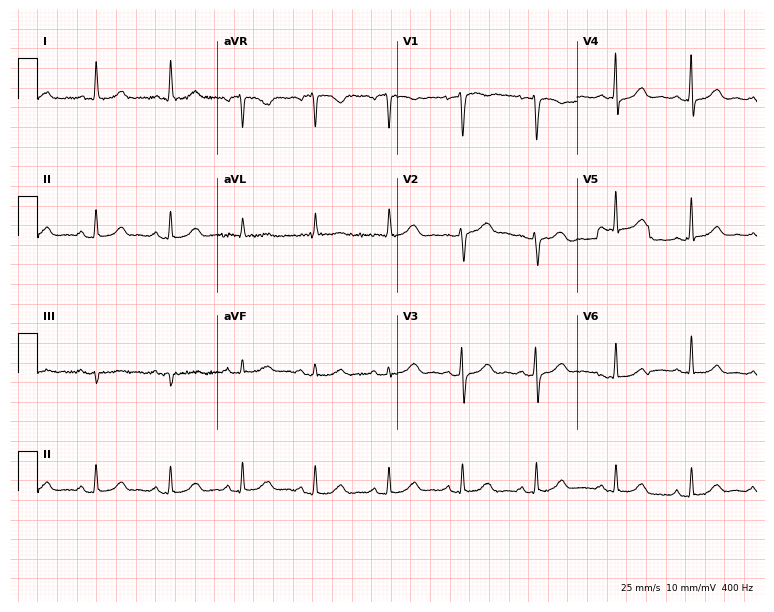
Electrocardiogram (7.3-second recording at 400 Hz), a 74-year-old female. Overall reading on record: normal ECG.